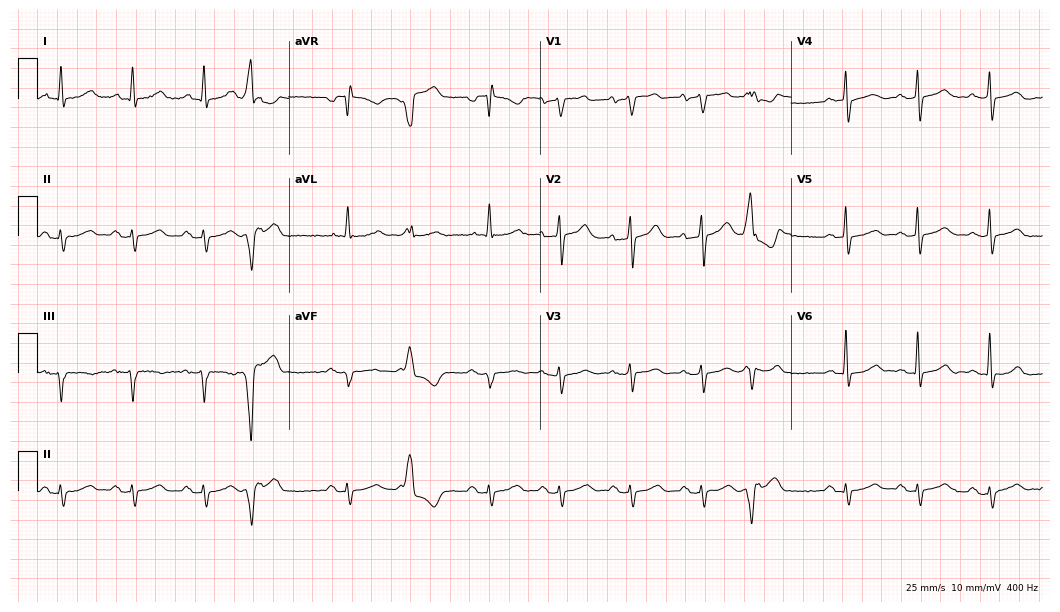
Electrocardiogram, a male patient, 84 years old. Of the six screened findings (first-degree AV block, right bundle branch block (RBBB), left bundle branch block (LBBB), sinus bradycardia, atrial fibrillation (AF), sinus tachycardia), none is recorded.